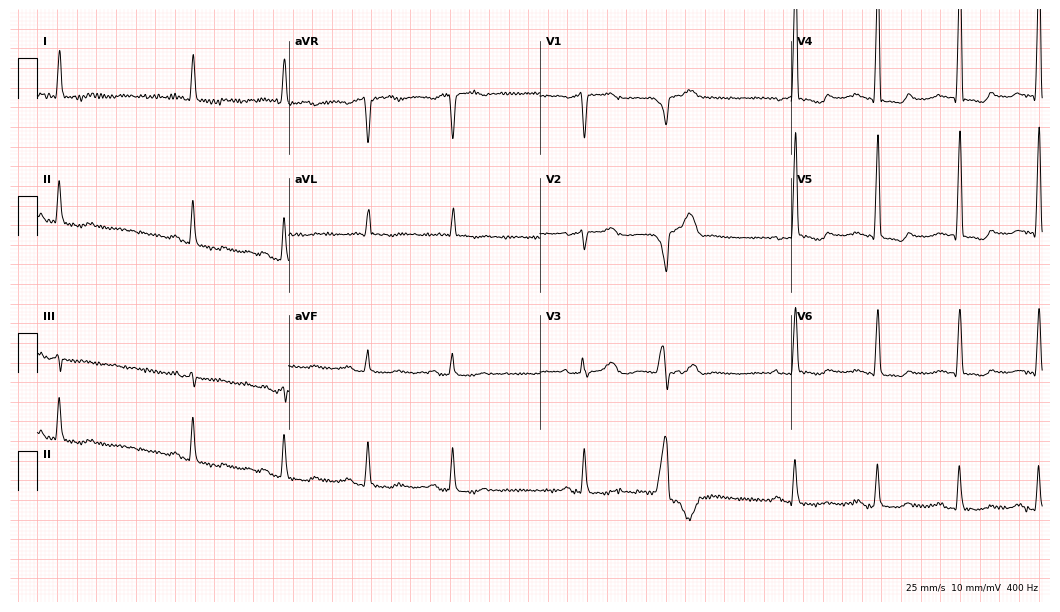
Electrocardiogram, a male, 85 years old. Of the six screened findings (first-degree AV block, right bundle branch block, left bundle branch block, sinus bradycardia, atrial fibrillation, sinus tachycardia), none is recorded. Only these six findings were labelled.